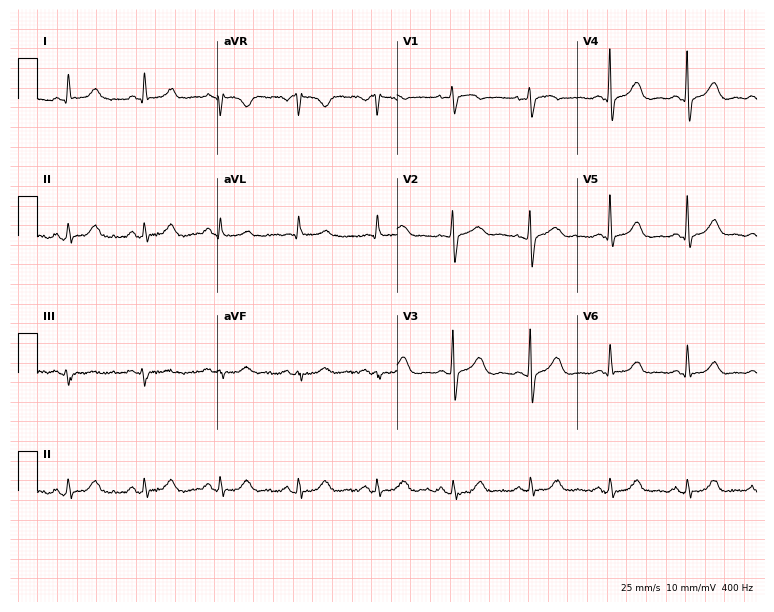
Resting 12-lead electrocardiogram (7.3-second recording at 400 Hz). Patient: a woman, 74 years old. Read as a normal ECG.